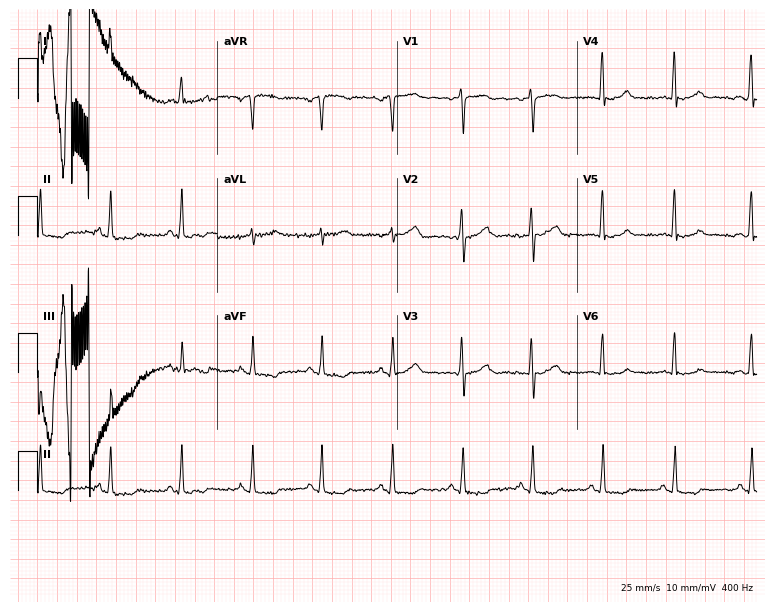
Standard 12-lead ECG recorded from a 38-year-old female (7.3-second recording at 400 Hz). None of these six findings is recorded: first-degree AV block, right bundle branch block (RBBB), left bundle branch block (LBBB), sinus bradycardia, atrial fibrillation (AF), sinus tachycardia.